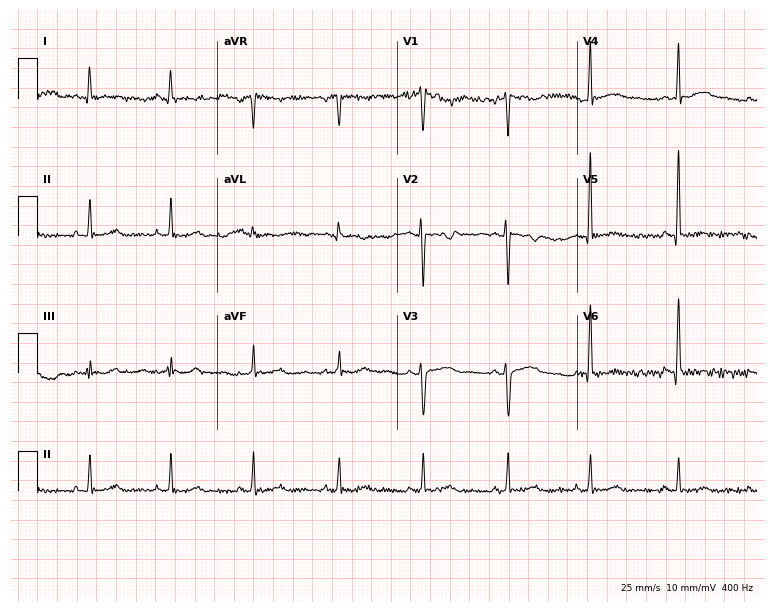
12-lead ECG from a male, 29 years old. No first-degree AV block, right bundle branch block (RBBB), left bundle branch block (LBBB), sinus bradycardia, atrial fibrillation (AF) or sinus tachycardia recorded for this tracing.